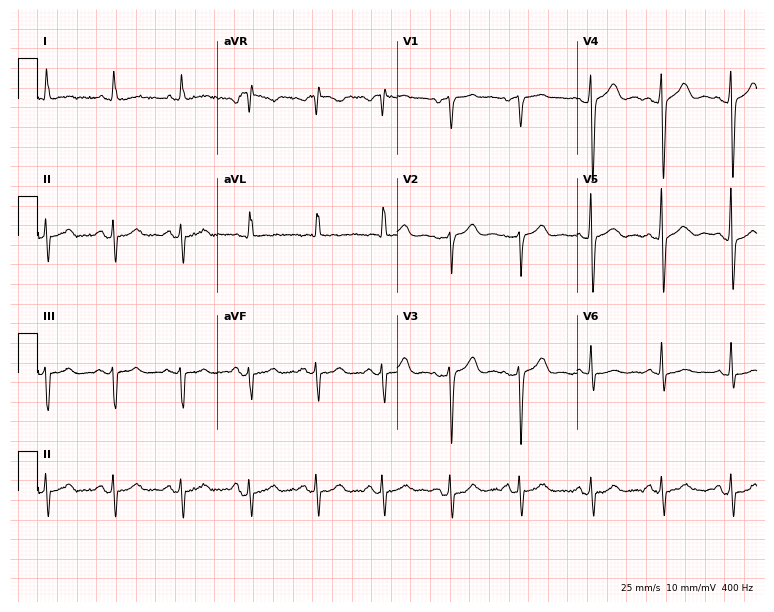
Electrocardiogram (7.3-second recording at 400 Hz), an 83-year-old female patient. Of the six screened findings (first-degree AV block, right bundle branch block (RBBB), left bundle branch block (LBBB), sinus bradycardia, atrial fibrillation (AF), sinus tachycardia), none is recorded. Only these six findings were labelled.